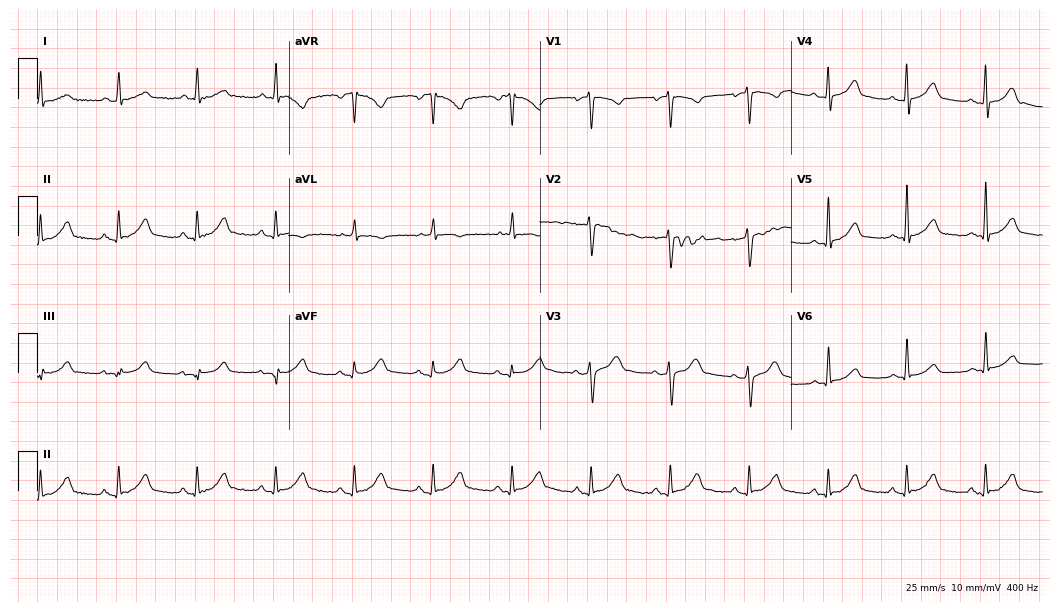
Resting 12-lead electrocardiogram. Patient: a male, 67 years old. Read as a normal ECG.